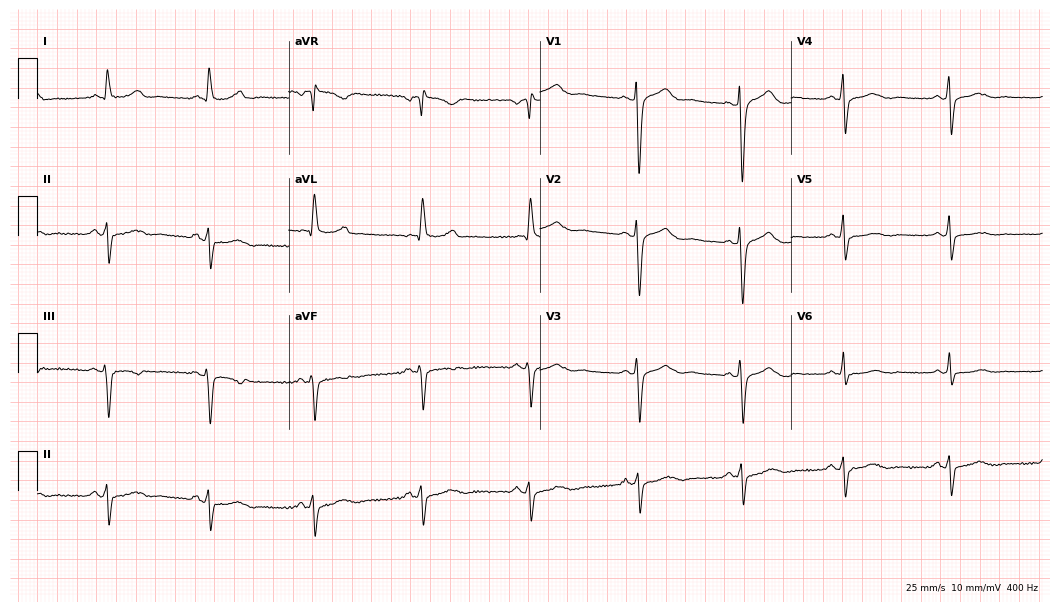
Electrocardiogram, a female patient, 63 years old. Of the six screened findings (first-degree AV block, right bundle branch block (RBBB), left bundle branch block (LBBB), sinus bradycardia, atrial fibrillation (AF), sinus tachycardia), none is recorded.